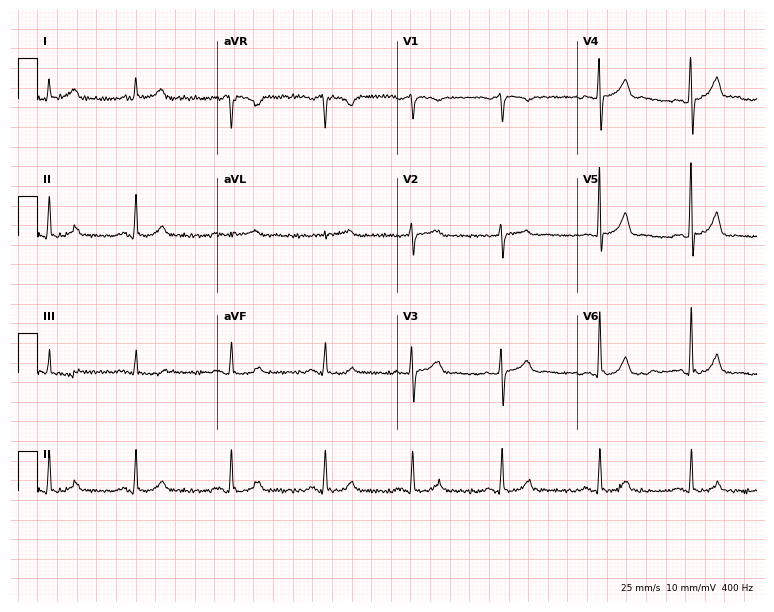
12-lead ECG (7.3-second recording at 400 Hz) from a 79-year-old male. Labelled as a normal ECG.